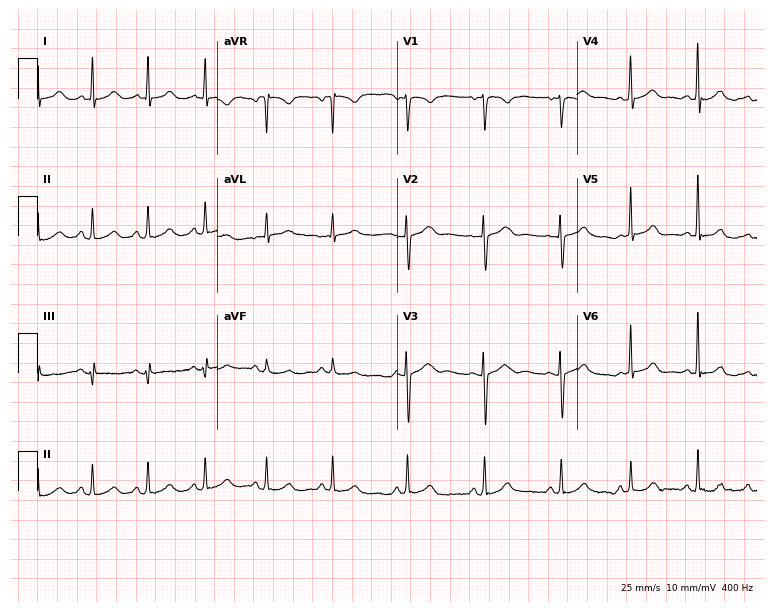
Resting 12-lead electrocardiogram. Patient: a woman, 37 years old. None of these six findings is recorded: first-degree AV block, right bundle branch block (RBBB), left bundle branch block (LBBB), sinus bradycardia, atrial fibrillation (AF), sinus tachycardia. Only these six findings were labelled.